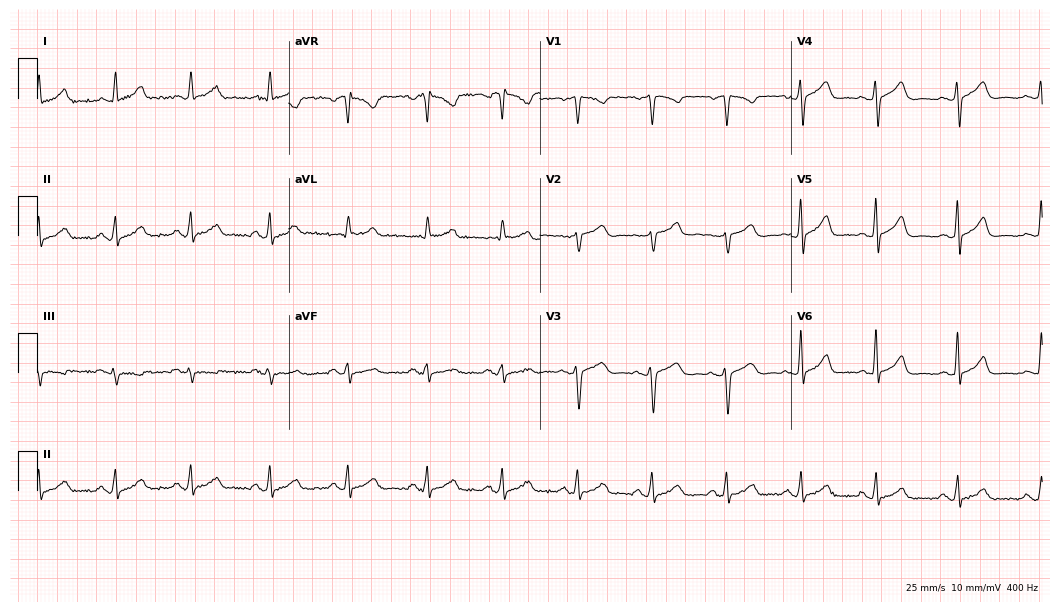
12-lead ECG from a female patient, 57 years old. Labelled as a normal ECG.